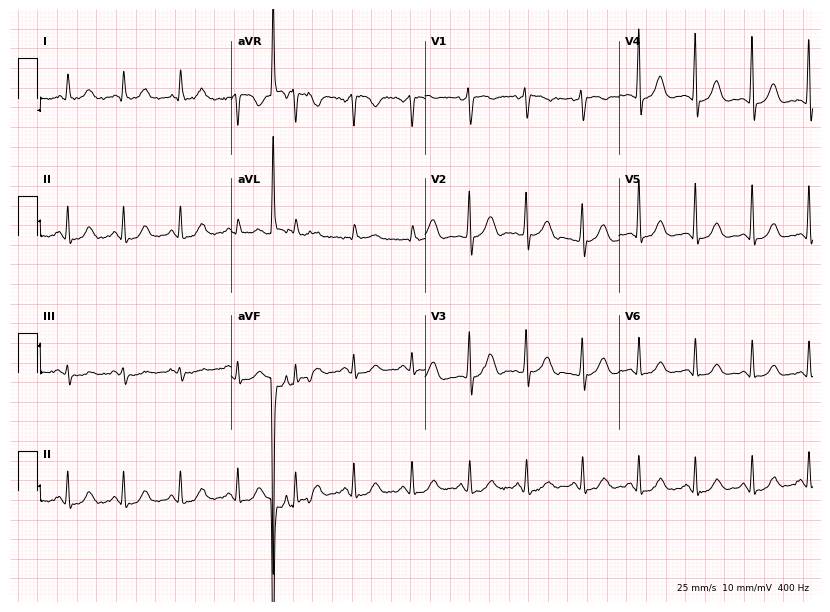
Electrocardiogram, a 55-year-old female. Interpretation includes sinus tachycardia (a sinus rate of 100 beats per minute or more).